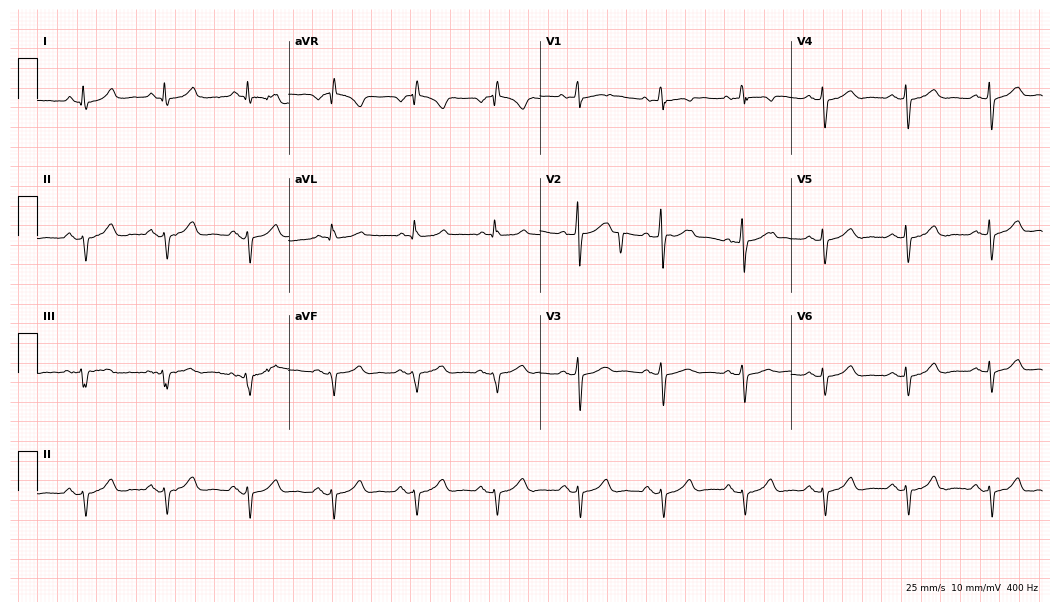
12-lead ECG from a 56-year-old female patient. Screened for six findings — first-degree AV block, right bundle branch block, left bundle branch block, sinus bradycardia, atrial fibrillation, sinus tachycardia — none is recorded. Findings outside these six are not listed.